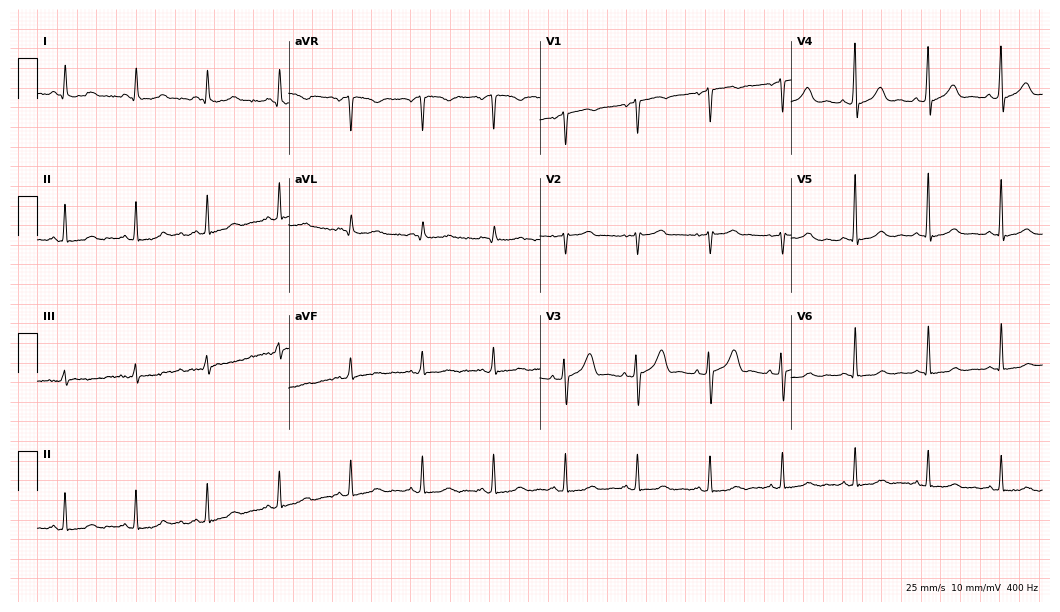
Standard 12-lead ECG recorded from a 57-year-old female patient. None of these six findings is recorded: first-degree AV block, right bundle branch block (RBBB), left bundle branch block (LBBB), sinus bradycardia, atrial fibrillation (AF), sinus tachycardia.